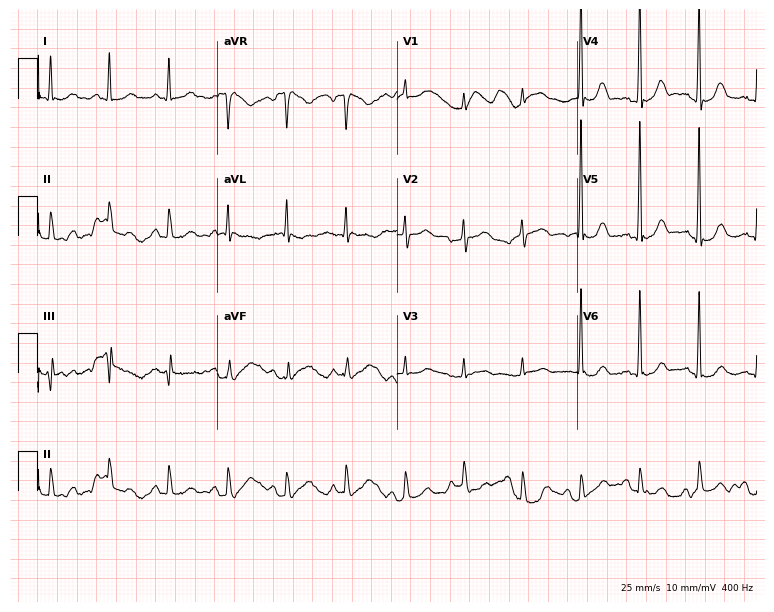
ECG — a woman, 79 years old. Screened for six findings — first-degree AV block, right bundle branch block, left bundle branch block, sinus bradycardia, atrial fibrillation, sinus tachycardia — none is recorded. Other findings, if any, are not listed.